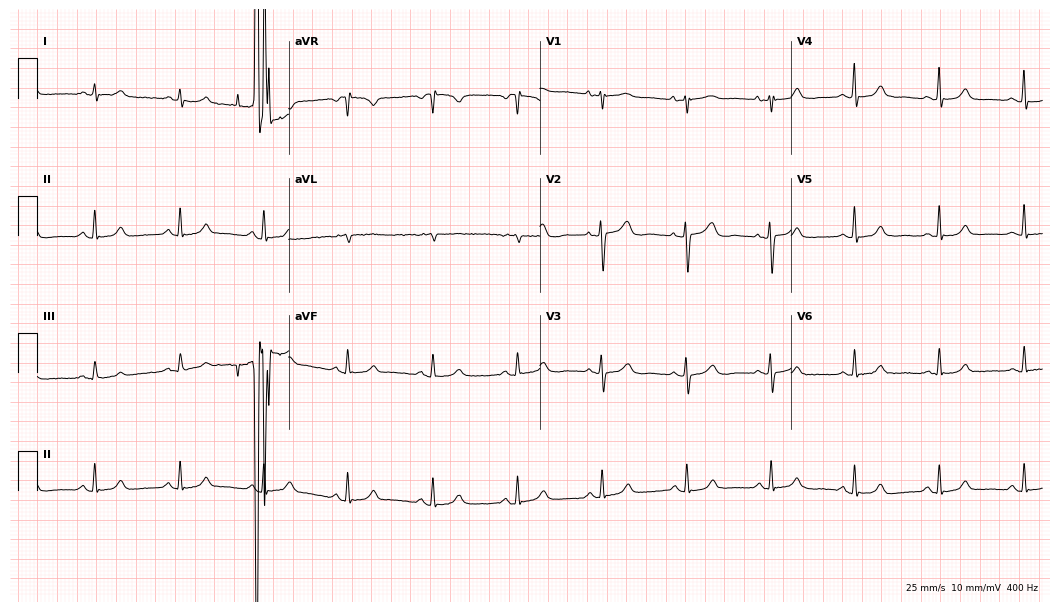
ECG — a female patient, 57 years old. Labelled as a normal ECG.